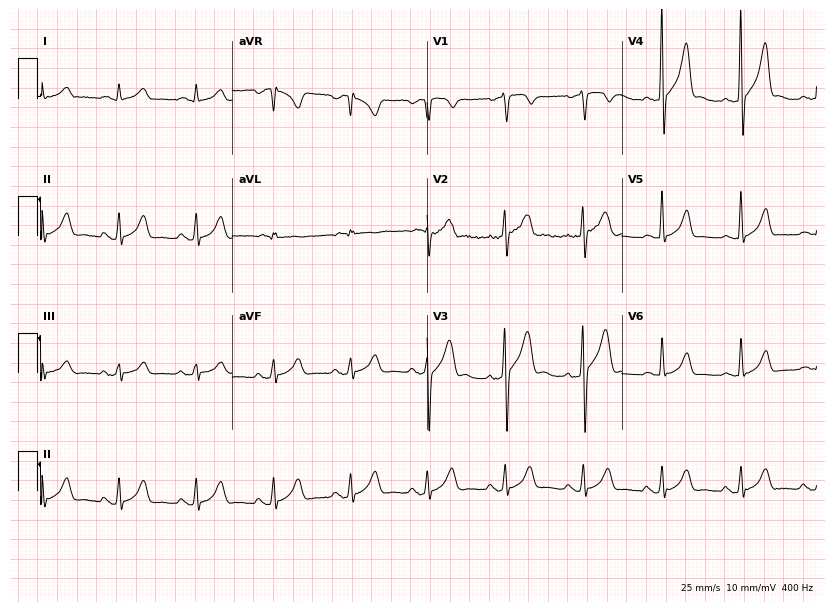
12-lead ECG from a male, 56 years old. Recorded interpretation: within normal limits.